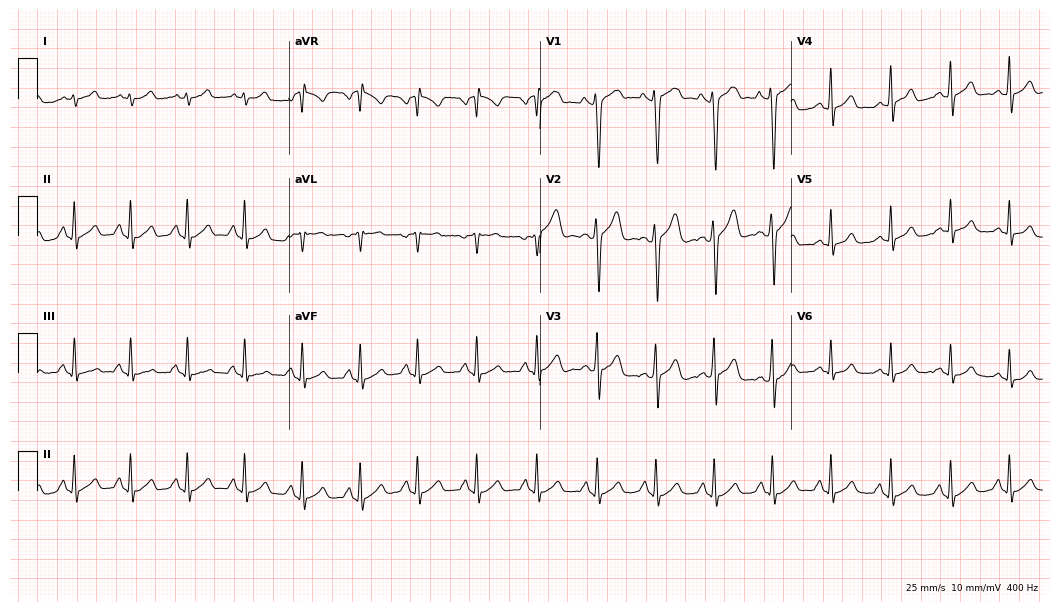
Standard 12-lead ECG recorded from a 20-year-old man. The tracing shows sinus tachycardia (a sinus rate of 100 beats per minute or more).